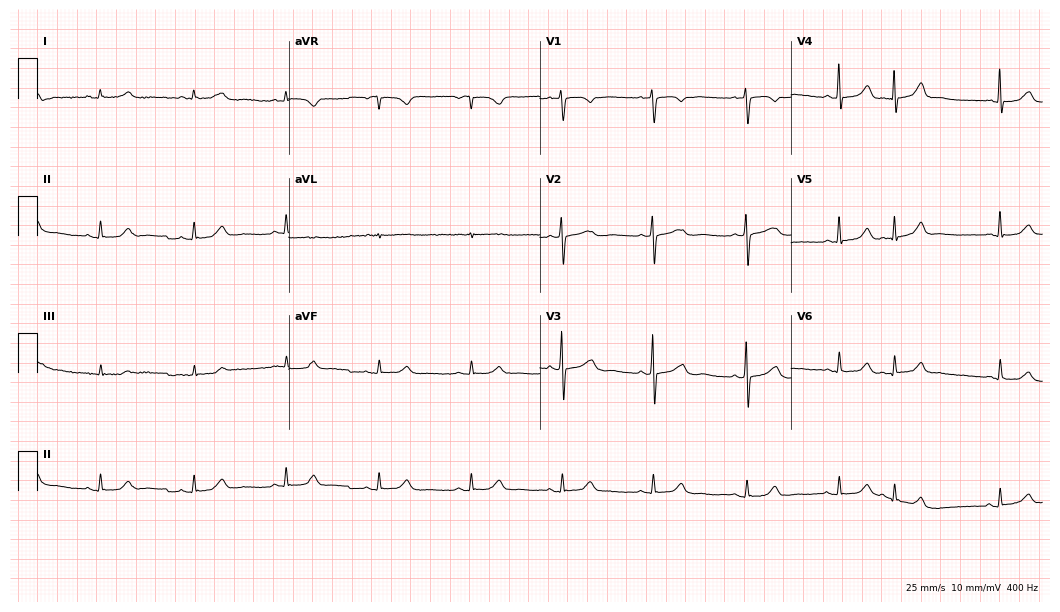
ECG — a female patient, 61 years old. Screened for six findings — first-degree AV block, right bundle branch block, left bundle branch block, sinus bradycardia, atrial fibrillation, sinus tachycardia — none is recorded.